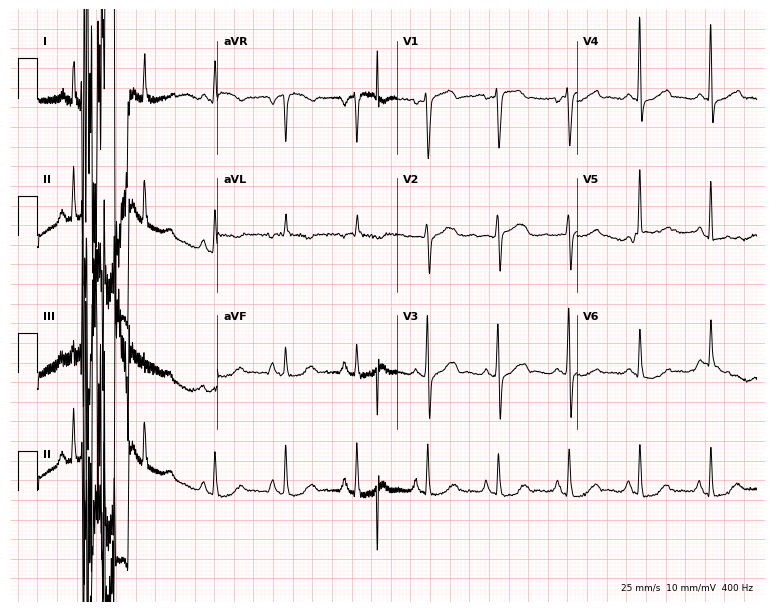
12-lead ECG from a female, 69 years old (7.3-second recording at 400 Hz). No first-degree AV block, right bundle branch block (RBBB), left bundle branch block (LBBB), sinus bradycardia, atrial fibrillation (AF) or sinus tachycardia recorded for this tracing. Findings outside these six are not listed.